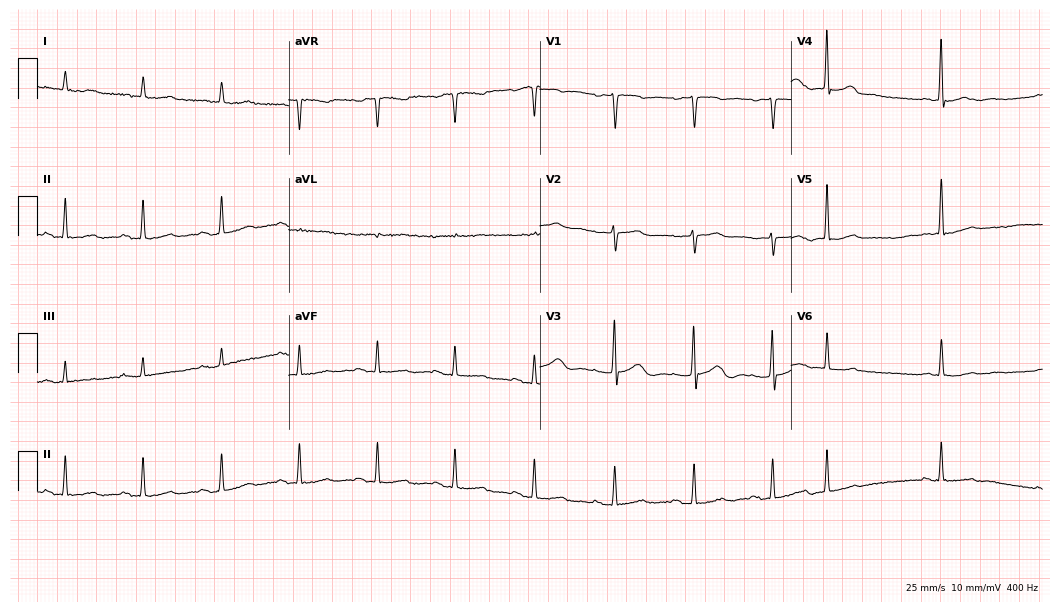
Standard 12-lead ECG recorded from a 77-year-old male (10.2-second recording at 400 Hz). None of these six findings is recorded: first-degree AV block, right bundle branch block, left bundle branch block, sinus bradycardia, atrial fibrillation, sinus tachycardia.